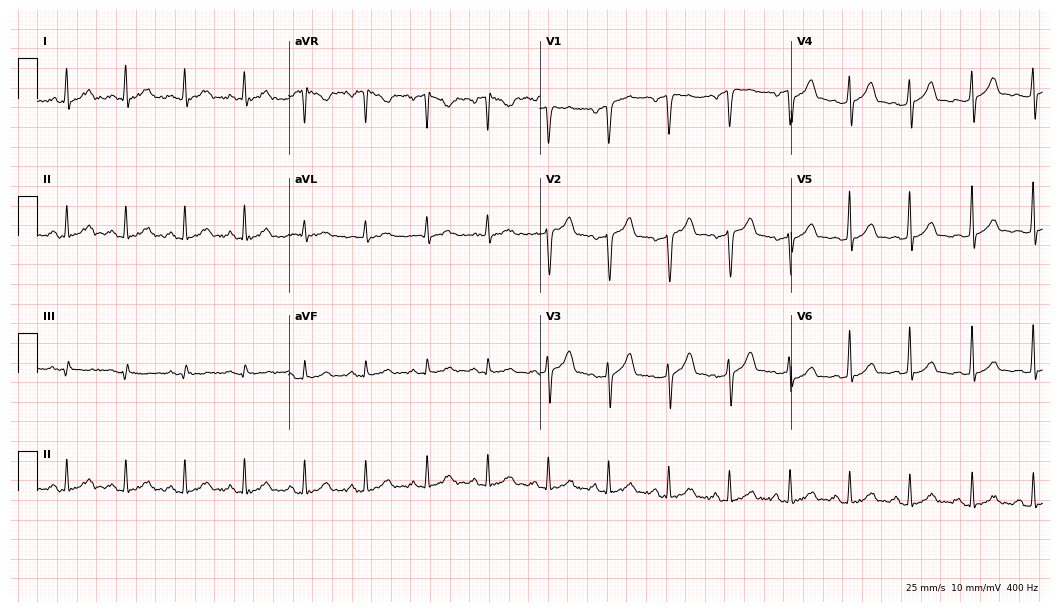
Standard 12-lead ECG recorded from a male patient, 40 years old (10.2-second recording at 400 Hz). Read as a normal ECG.